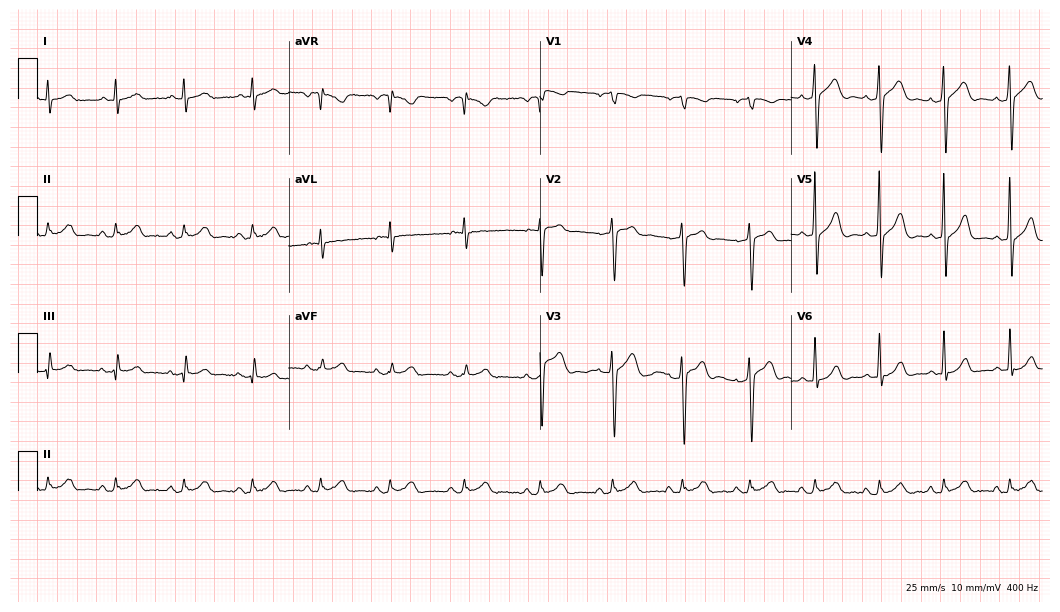
12-lead ECG from a 34-year-old male patient. Labelled as a normal ECG.